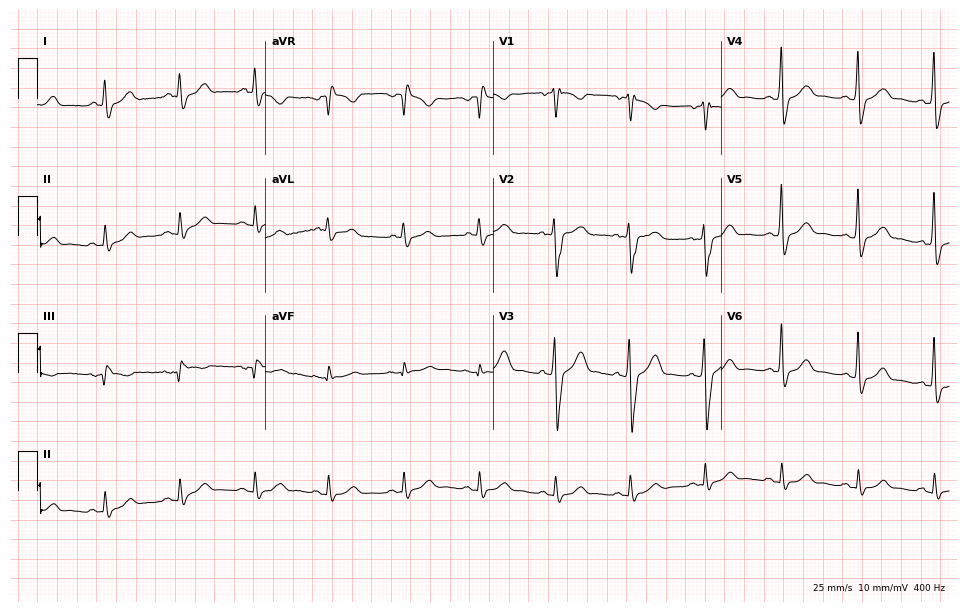
12-lead ECG from a male patient, 40 years old. No first-degree AV block, right bundle branch block (RBBB), left bundle branch block (LBBB), sinus bradycardia, atrial fibrillation (AF) or sinus tachycardia recorded for this tracing.